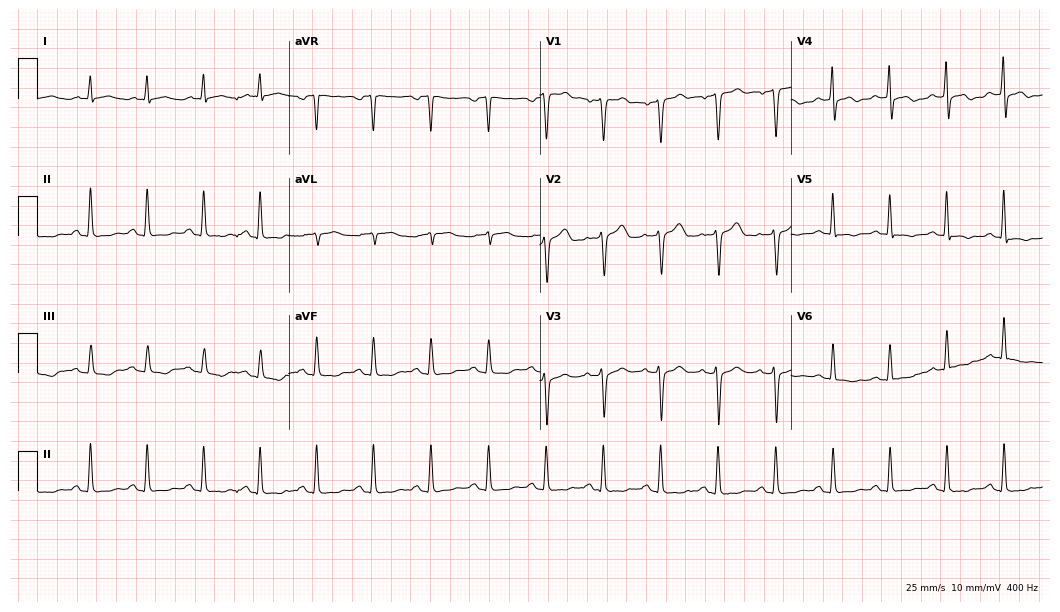
ECG — a woman, 59 years old. Screened for six findings — first-degree AV block, right bundle branch block, left bundle branch block, sinus bradycardia, atrial fibrillation, sinus tachycardia — none is recorded. Only these six findings were labelled.